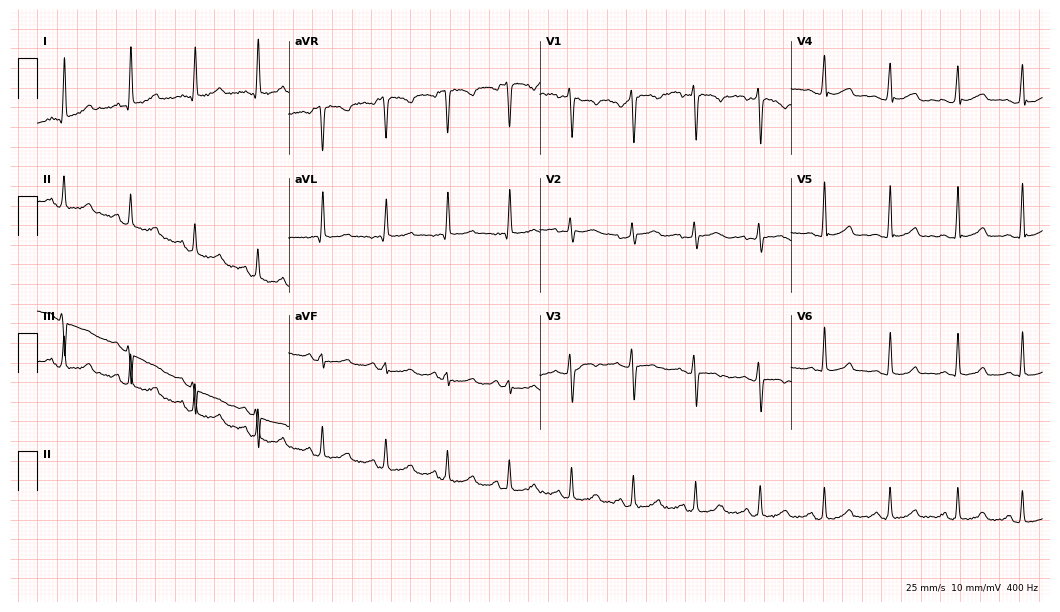
Resting 12-lead electrocardiogram (10.2-second recording at 400 Hz). Patient: a female, 32 years old. Read as a normal ECG.